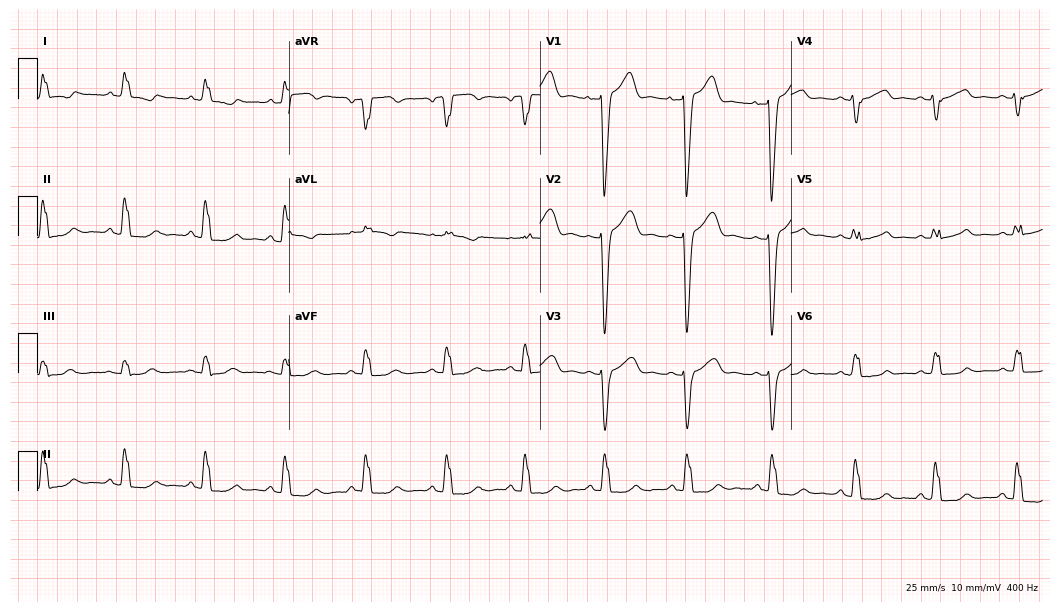
Resting 12-lead electrocardiogram (10.2-second recording at 400 Hz). Patient: a female, 67 years old. The tracing shows left bundle branch block.